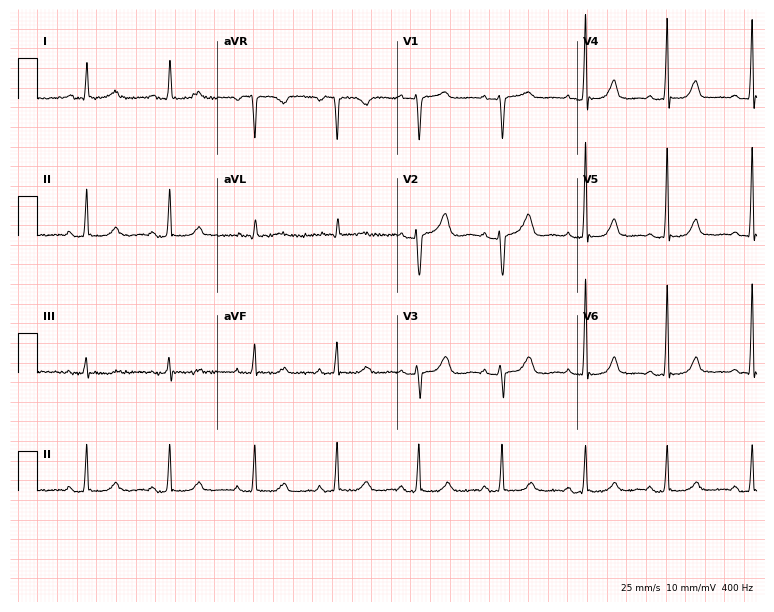
12-lead ECG from a female patient, 34 years old. Recorded interpretation: within normal limits.